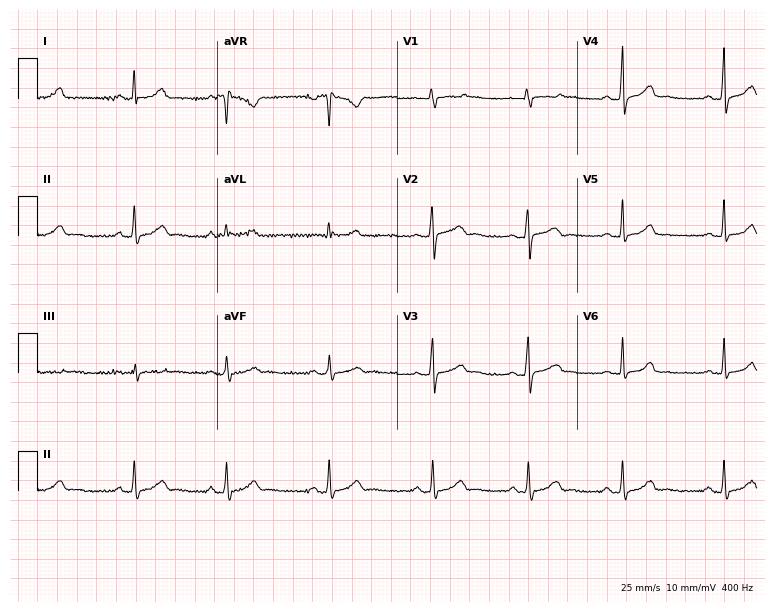
12-lead ECG from a 27-year-old female. Recorded interpretation: within normal limits.